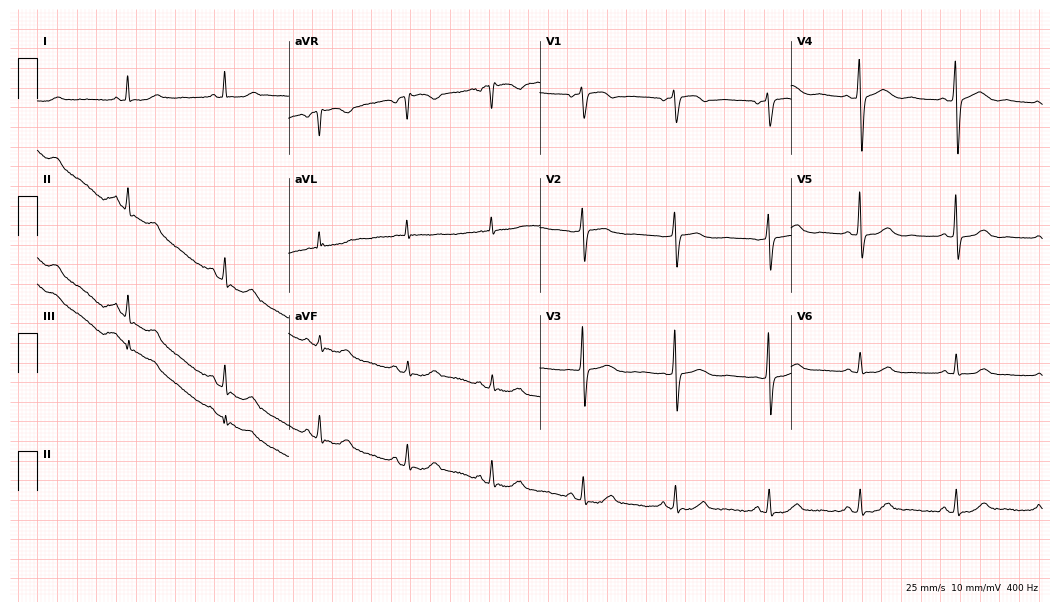
ECG (10.2-second recording at 400 Hz) — a female, 67 years old. Labelled as a normal ECG.